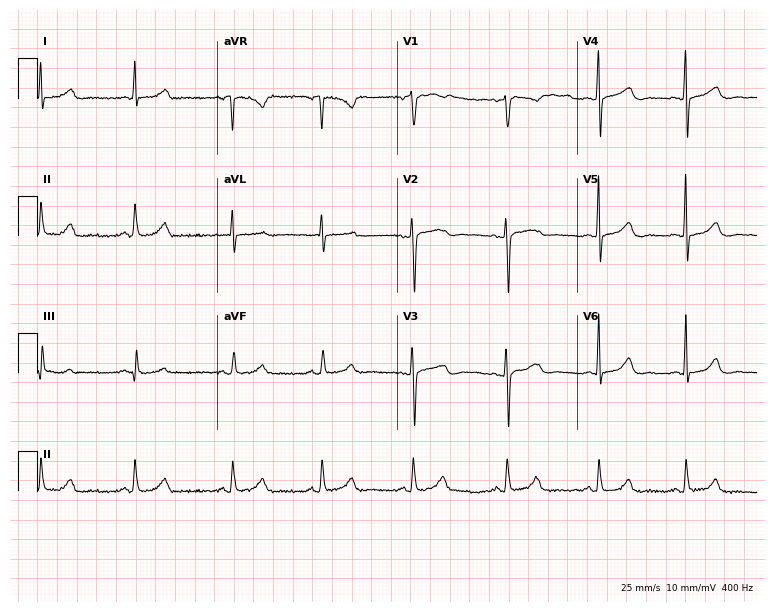
12-lead ECG from a 43-year-old female. Recorded interpretation: within normal limits.